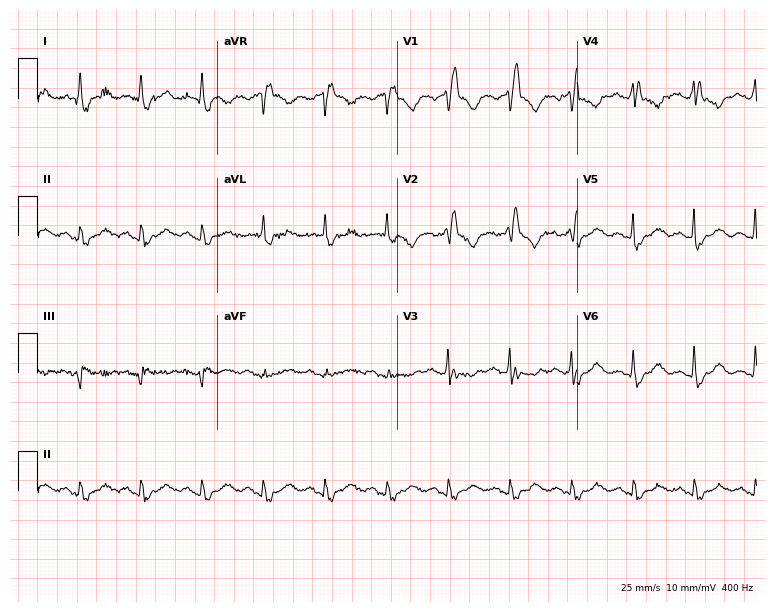
12-lead ECG from a 70-year-old woman. Shows right bundle branch block.